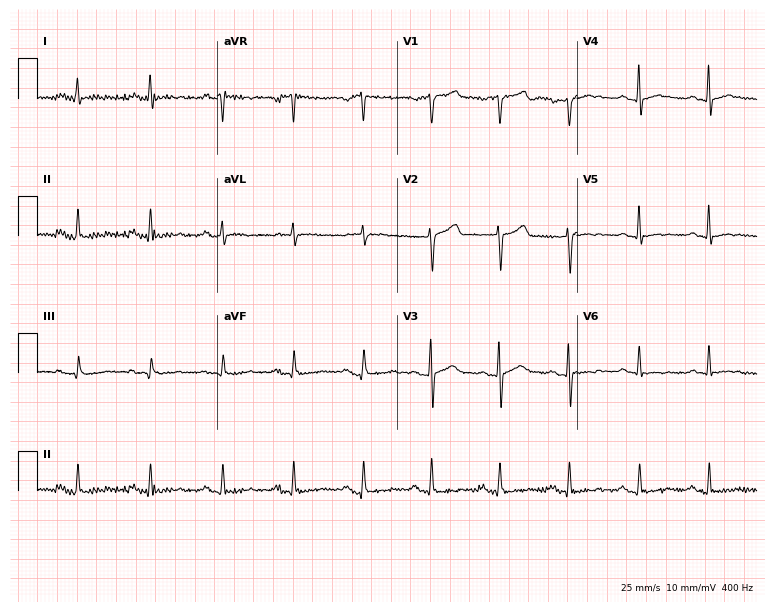
12-lead ECG from a male, 56 years old (7.3-second recording at 400 Hz). No first-degree AV block, right bundle branch block (RBBB), left bundle branch block (LBBB), sinus bradycardia, atrial fibrillation (AF) or sinus tachycardia recorded for this tracing. Other findings, if any, are not listed.